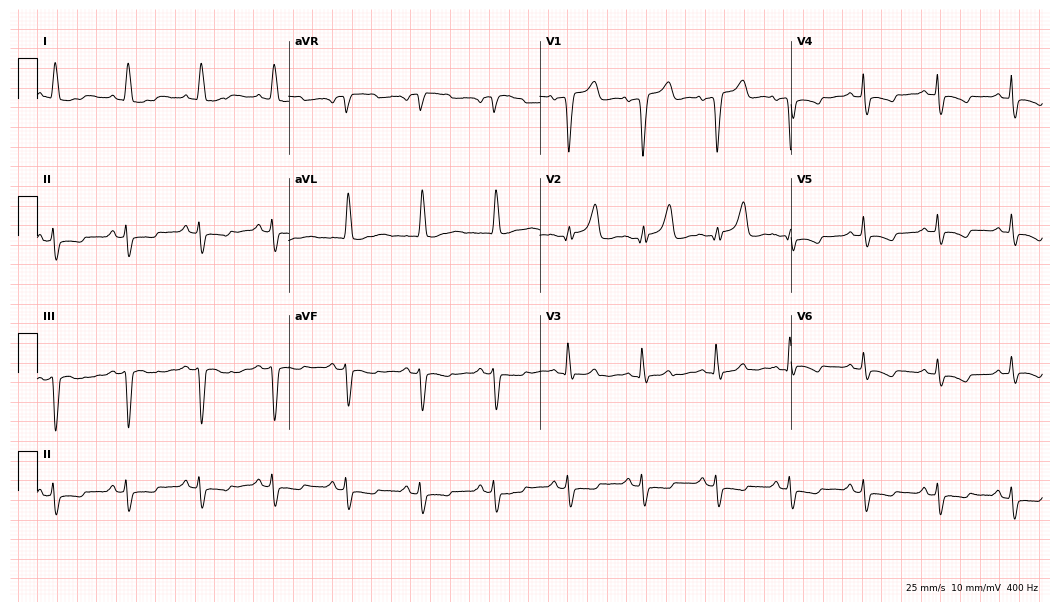
12-lead ECG from a female, 77 years old. No first-degree AV block, right bundle branch block, left bundle branch block, sinus bradycardia, atrial fibrillation or sinus tachycardia recorded for this tracing.